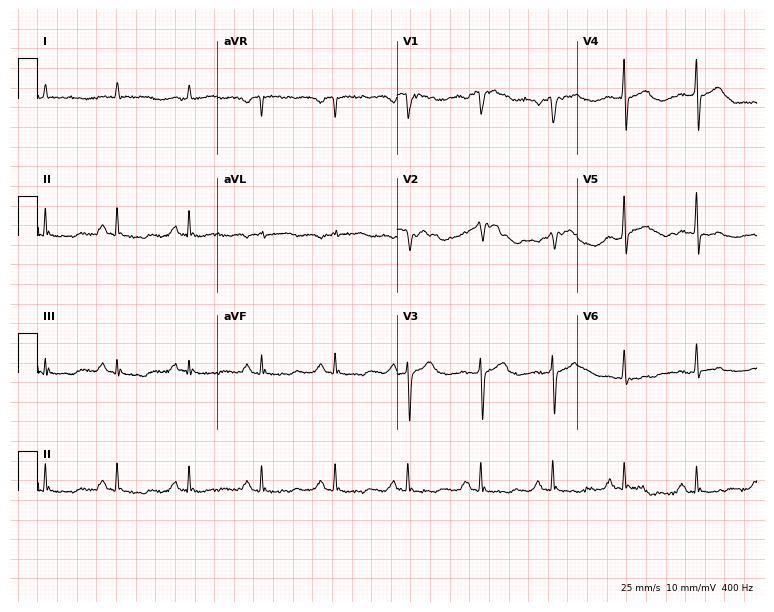
ECG (7.3-second recording at 400 Hz) — a male, 76 years old. Labelled as a normal ECG.